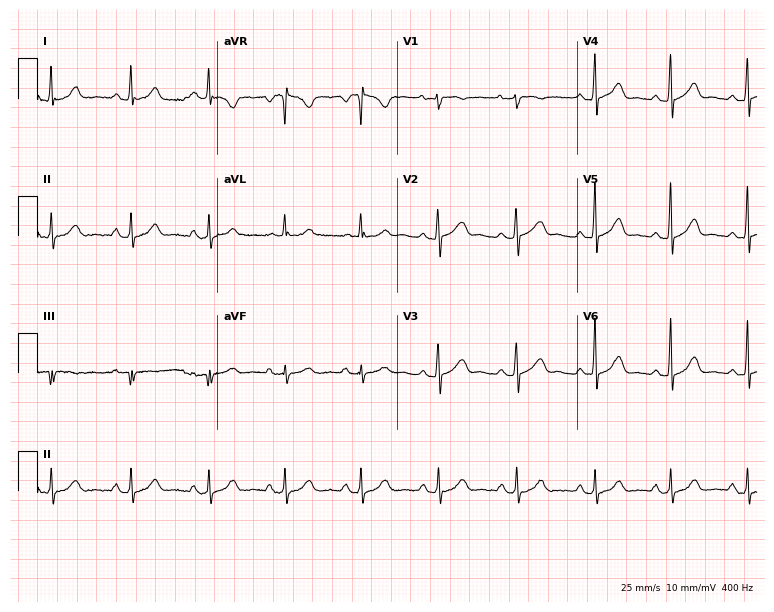
Standard 12-lead ECG recorded from a woman, 30 years old (7.3-second recording at 400 Hz). None of these six findings is recorded: first-degree AV block, right bundle branch block, left bundle branch block, sinus bradycardia, atrial fibrillation, sinus tachycardia.